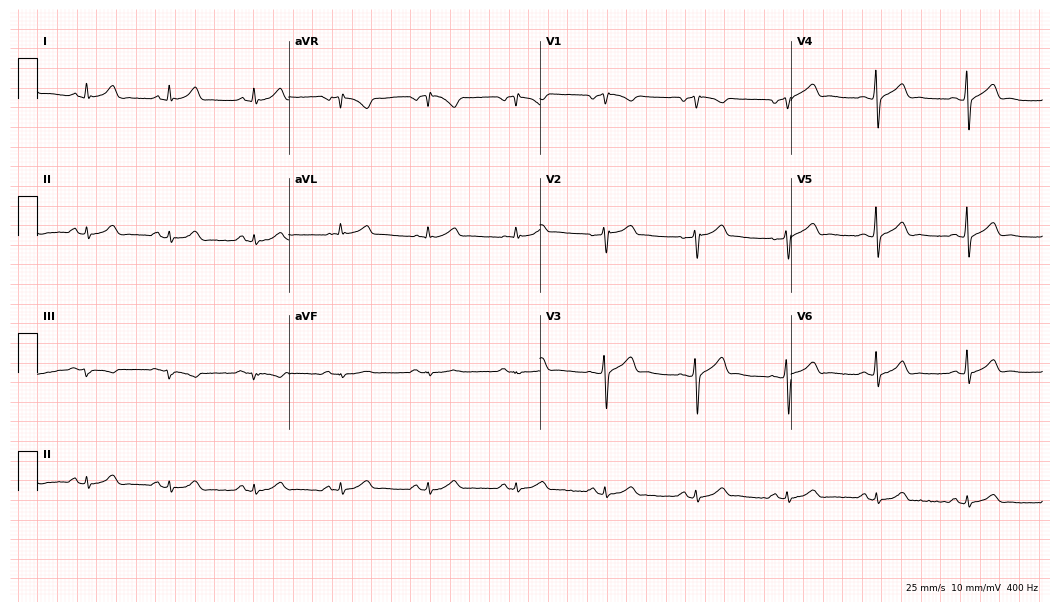
ECG (10.2-second recording at 400 Hz) — a male patient, 49 years old. Labelled as a normal ECG.